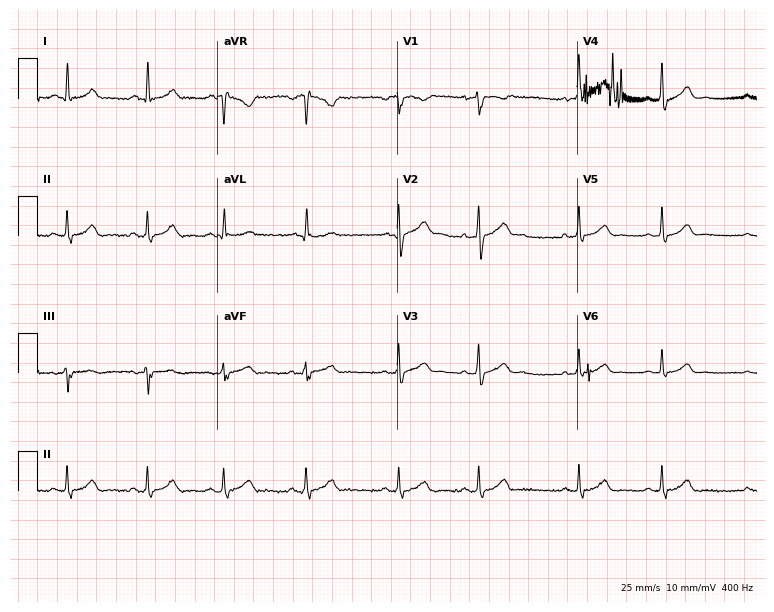
Electrocardiogram (7.3-second recording at 400 Hz), a woman, 19 years old. Overall reading on record: normal ECG.